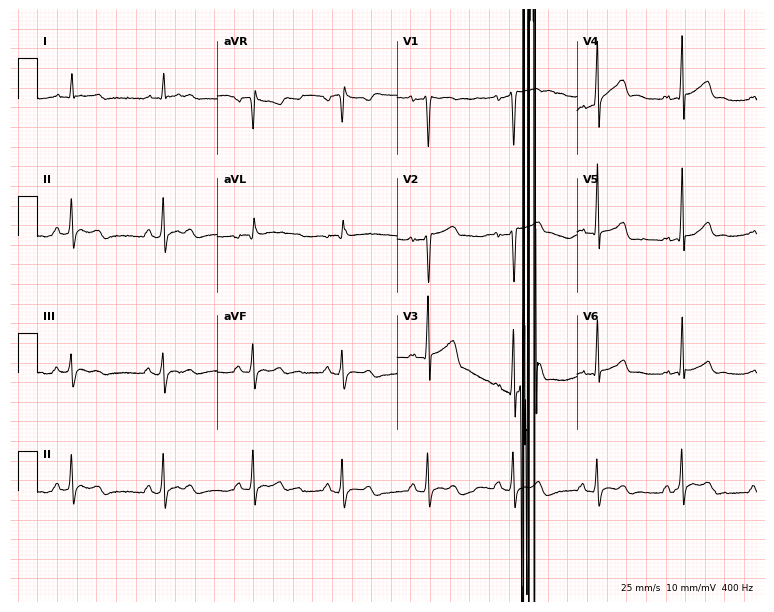
12-lead ECG (7.3-second recording at 400 Hz) from a male patient, 39 years old. Screened for six findings — first-degree AV block, right bundle branch block (RBBB), left bundle branch block (LBBB), sinus bradycardia, atrial fibrillation (AF), sinus tachycardia — none is recorded.